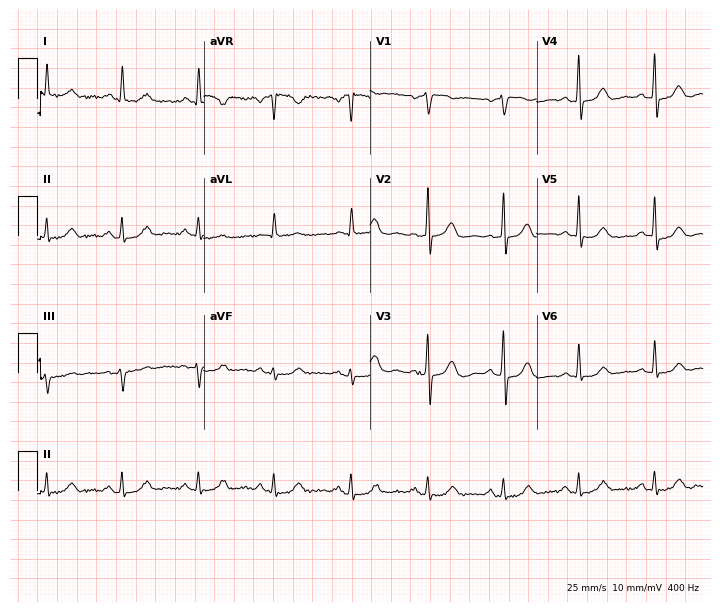
12-lead ECG from a female patient, 69 years old (6.8-second recording at 400 Hz). No first-degree AV block, right bundle branch block (RBBB), left bundle branch block (LBBB), sinus bradycardia, atrial fibrillation (AF) or sinus tachycardia recorded for this tracing. Only these six findings were labelled.